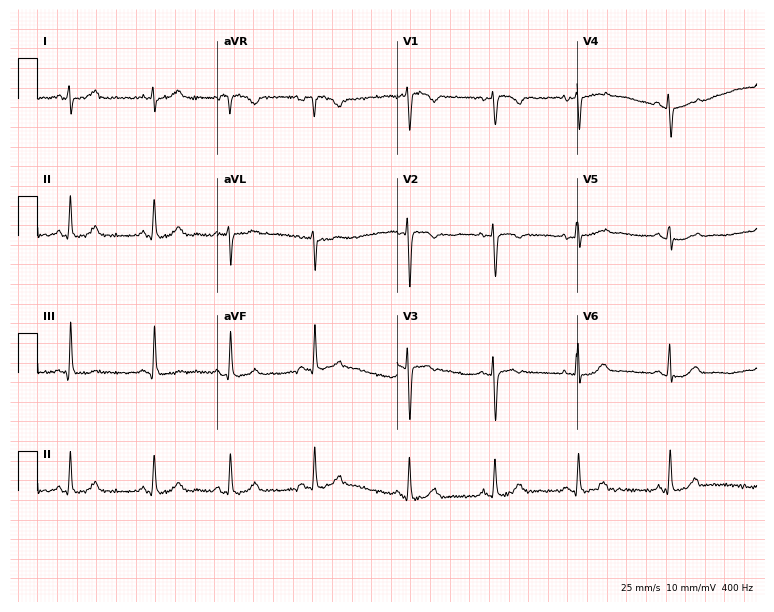
12-lead ECG (7.3-second recording at 400 Hz) from a female, 22 years old. Screened for six findings — first-degree AV block, right bundle branch block, left bundle branch block, sinus bradycardia, atrial fibrillation, sinus tachycardia — none is recorded. Only these six findings were labelled.